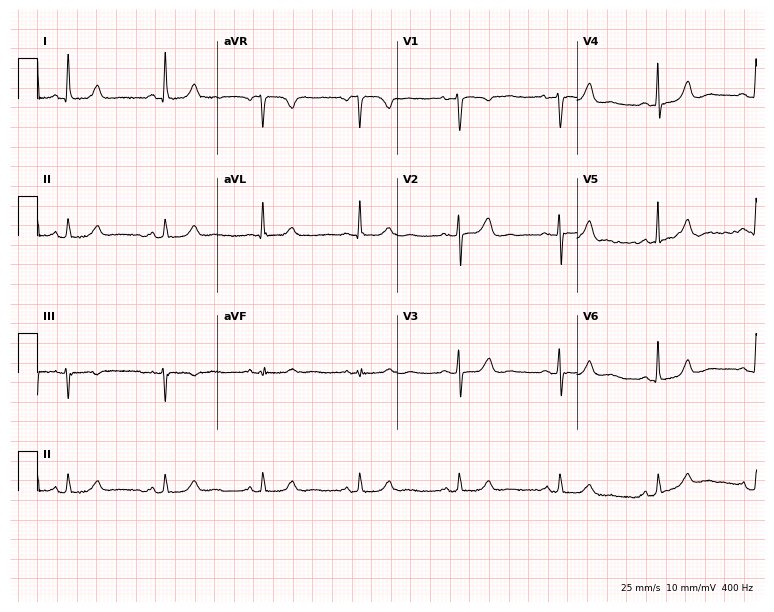
ECG — a 58-year-old female patient. Labelled as a normal ECG.